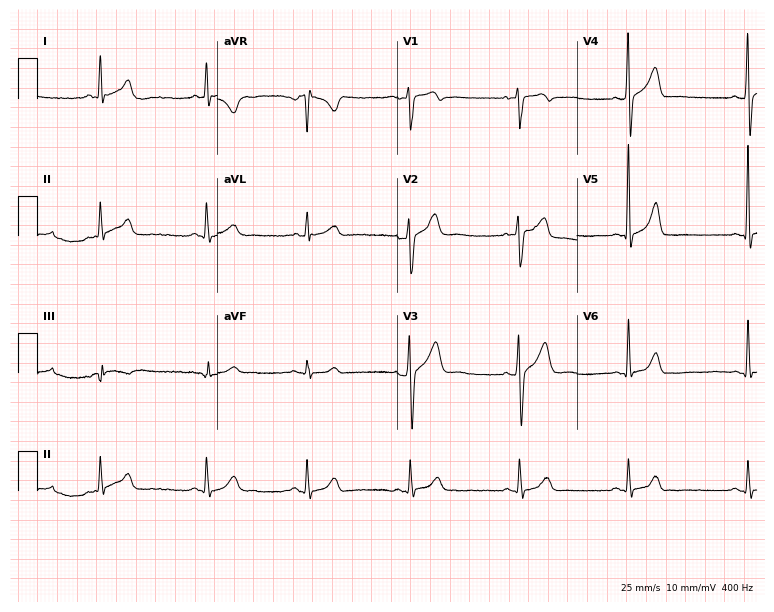
12-lead ECG from a man, 45 years old (7.3-second recording at 400 Hz). No first-degree AV block, right bundle branch block (RBBB), left bundle branch block (LBBB), sinus bradycardia, atrial fibrillation (AF) or sinus tachycardia recorded for this tracing.